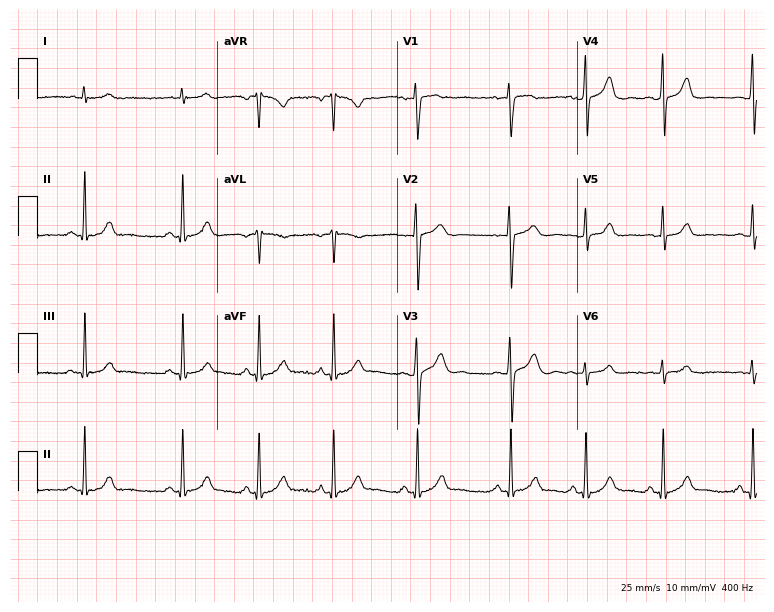
ECG (7.3-second recording at 400 Hz) — a woman, 17 years old. Screened for six findings — first-degree AV block, right bundle branch block, left bundle branch block, sinus bradycardia, atrial fibrillation, sinus tachycardia — none is recorded. Findings outside these six are not listed.